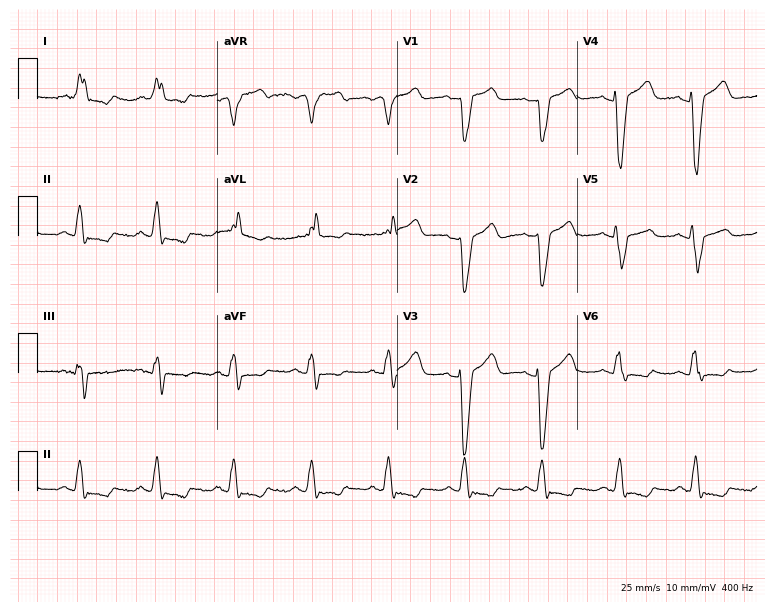
12-lead ECG from a 78-year-old female (7.3-second recording at 400 Hz). Shows left bundle branch block (LBBB).